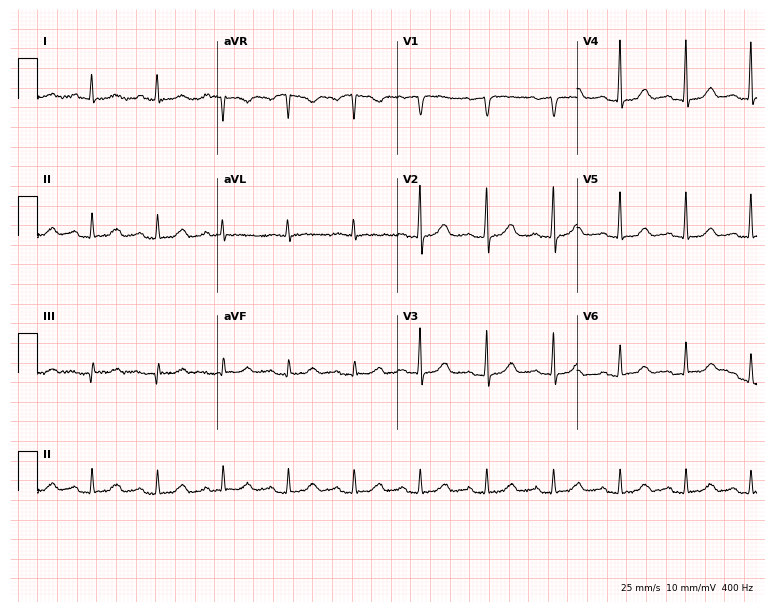
Standard 12-lead ECG recorded from a 64-year-old woman (7.3-second recording at 400 Hz). Read as a normal ECG.